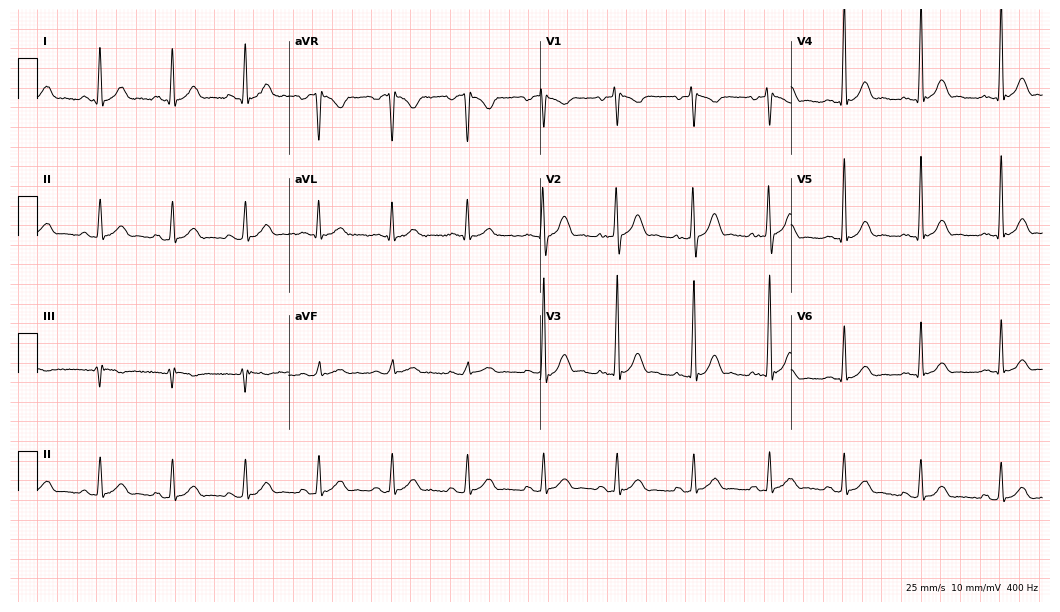
Resting 12-lead electrocardiogram (10.2-second recording at 400 Hz). Patient: a 35-year-old man. None of these six findings is recorded: first-degree AV block, right bundle branch block (RBBB), left bundle branch block (LBBB), sinus bradycardia, atrial fibrillation (AF), sinus tachycardia.